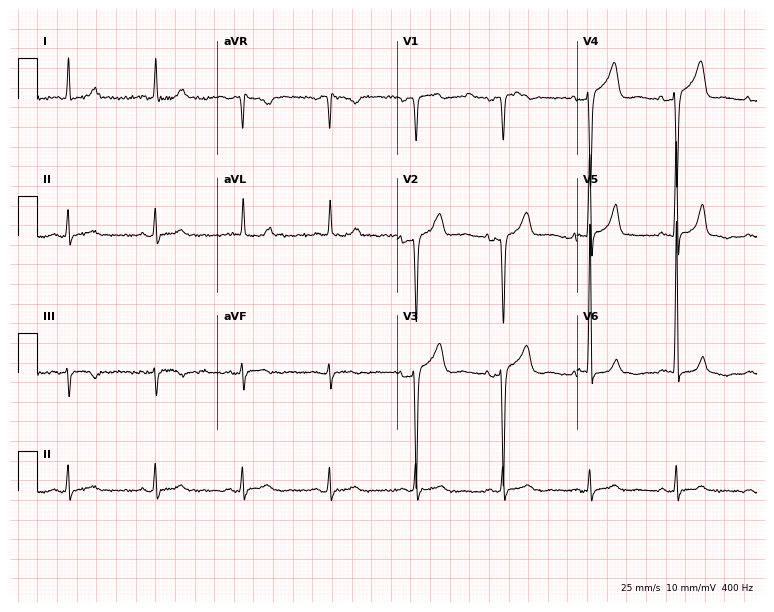
ECG — a female, 83 years old. Screened for six findings — first-degree AV block, right bundle branch block, left bundle branch block, sinus bradycardia, atrial fibrillation, sinus tachycardia — none is recorded.